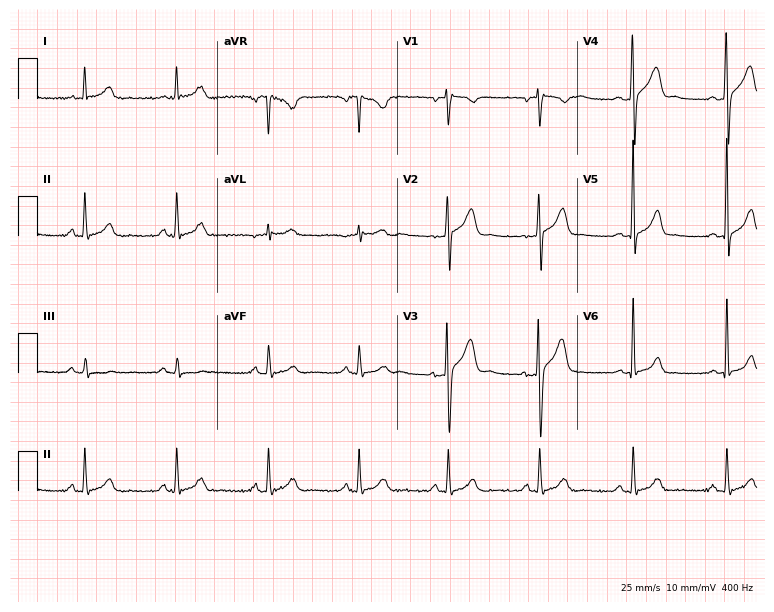
Standard 12-lead ECG recorded from a 43-year-old man. Read as a normal ECG.